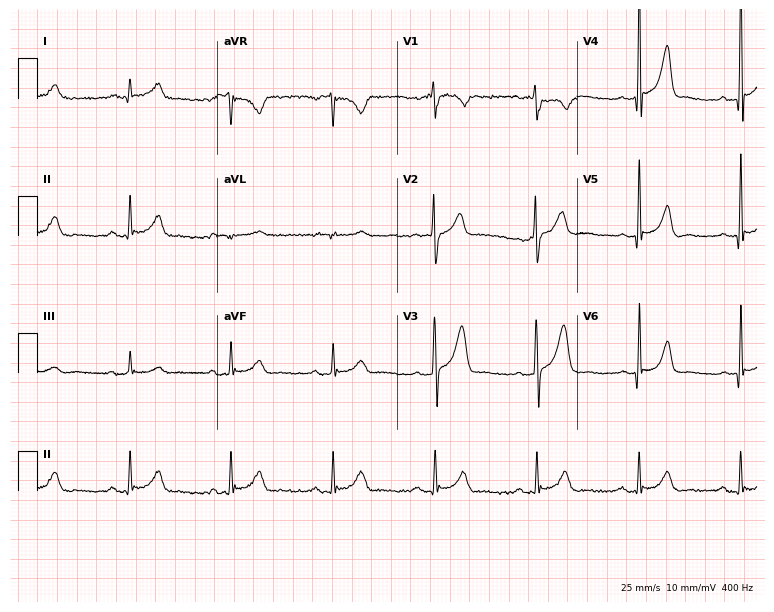
ECG (7.3-second recording at 400 Hz) — a 67-year-old male. Screened for six findings — first-degree AV block, right bundle branch block, left bundle branch block, sinus bradycardia, atrial fibrillation, sinus tachycardia — none is recorded. Findings outside these six are not listed.